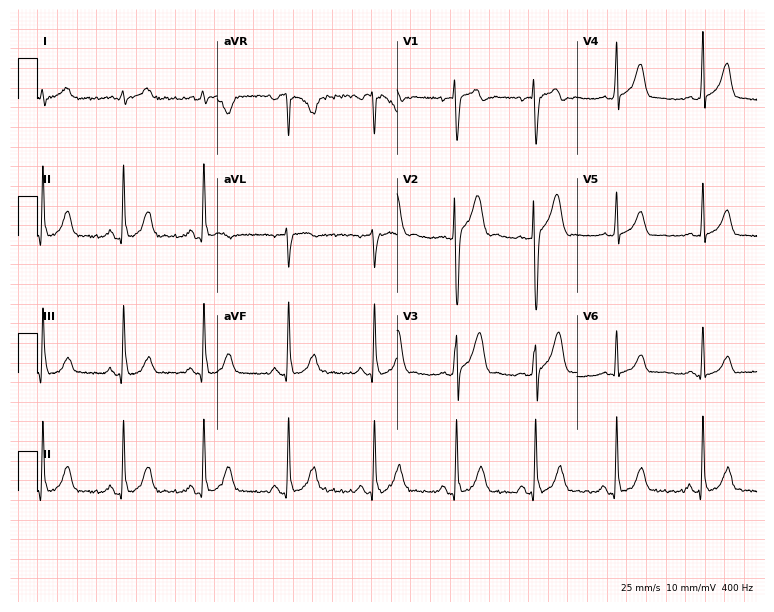
Electrocardiogram (7.3-second recording at 400 Hz), a man, 20 years old. Overall reading on record: normal ECG.